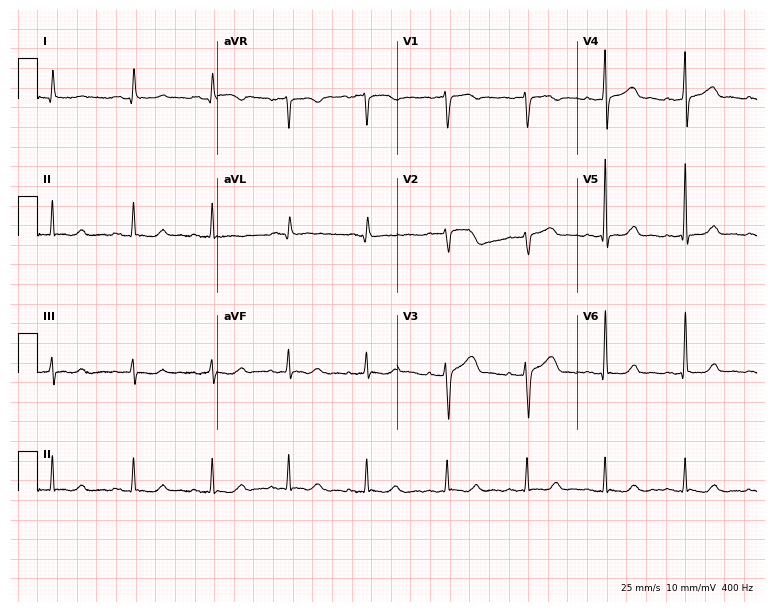
ECG (7.3-second recording at 400 Hz) — a 53-year-old female patient. Labelled as a normal ECG.